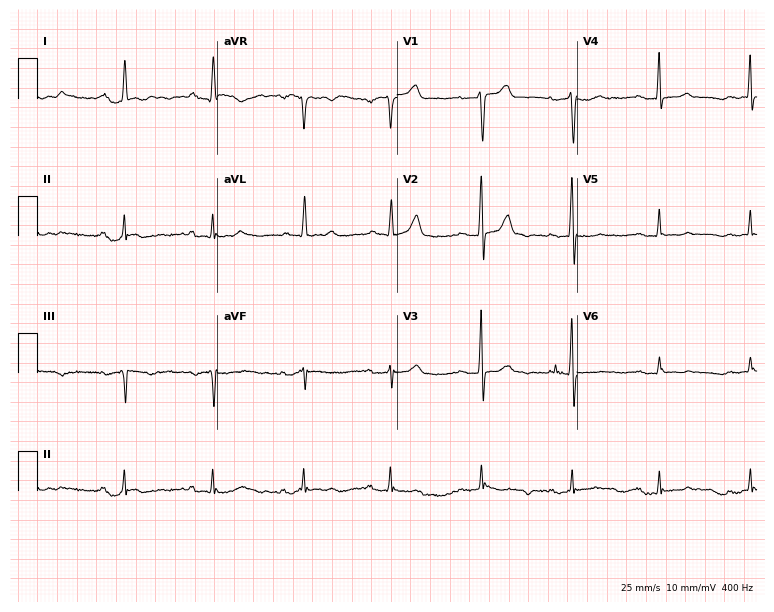
Electrocardiogram (7.3-second recording at 400 Hz), a 71-year-old male. Interpretation includes first-degree AV block.